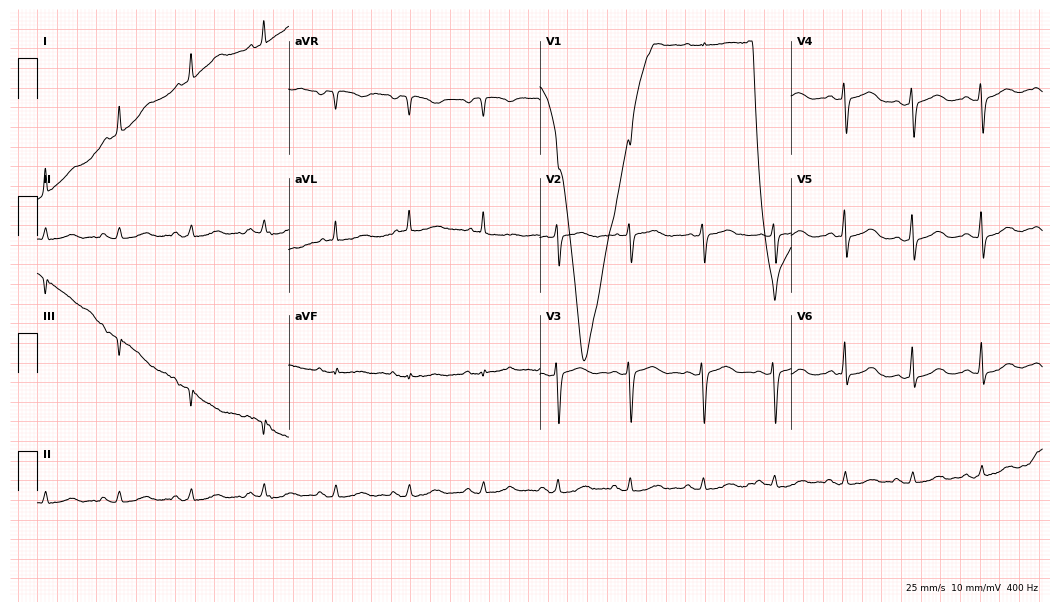
Standard 12-lead ECG recorded from an 84-year-old female. Read as a normal ECG.